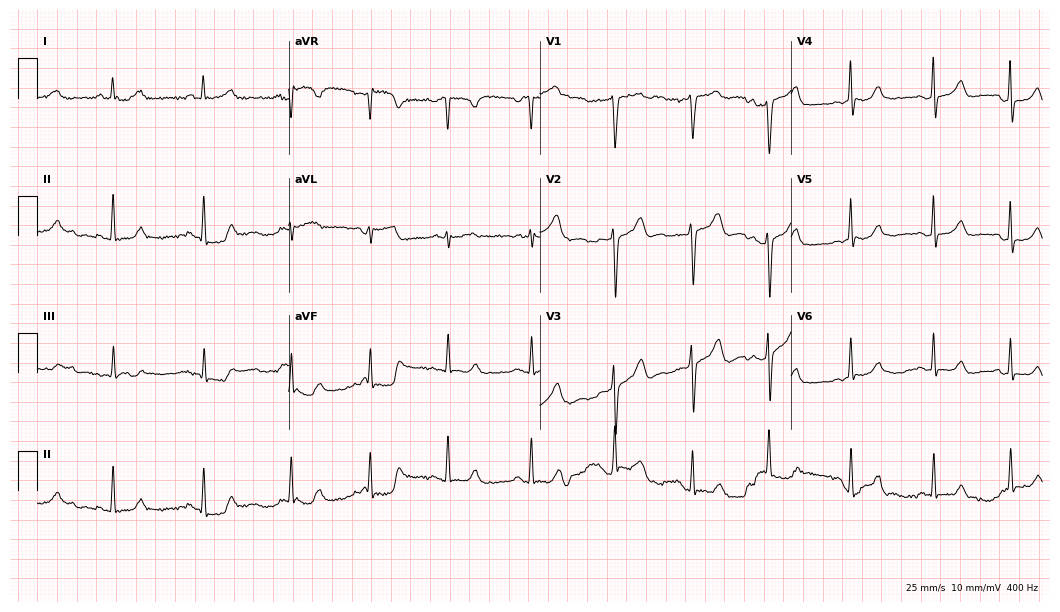
12-lead ECG from a 22-year-old woman (10.2-second recording at 400 Hz). Recorded interpretation: within normal limits.